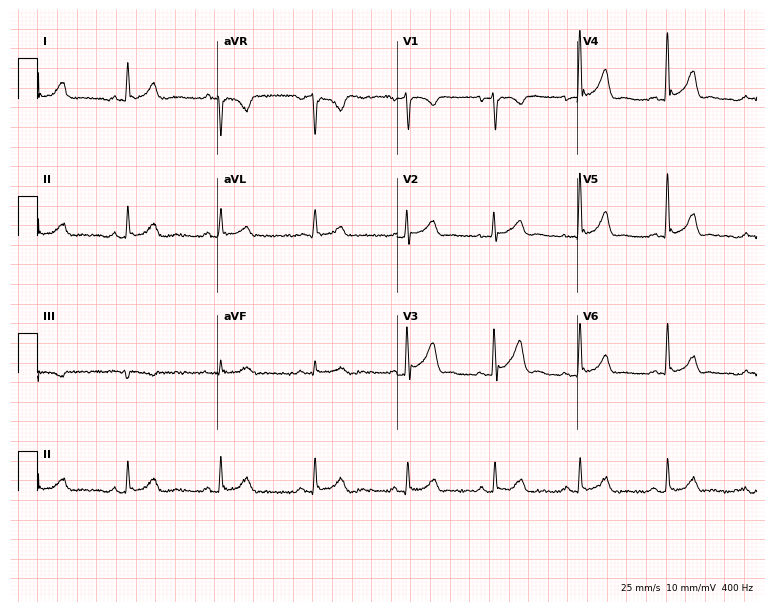
Standard 12-lead ECG recorded from a male patient, 35 years old (7.3-second recording at 400 Hz). Read as a normal ECG.